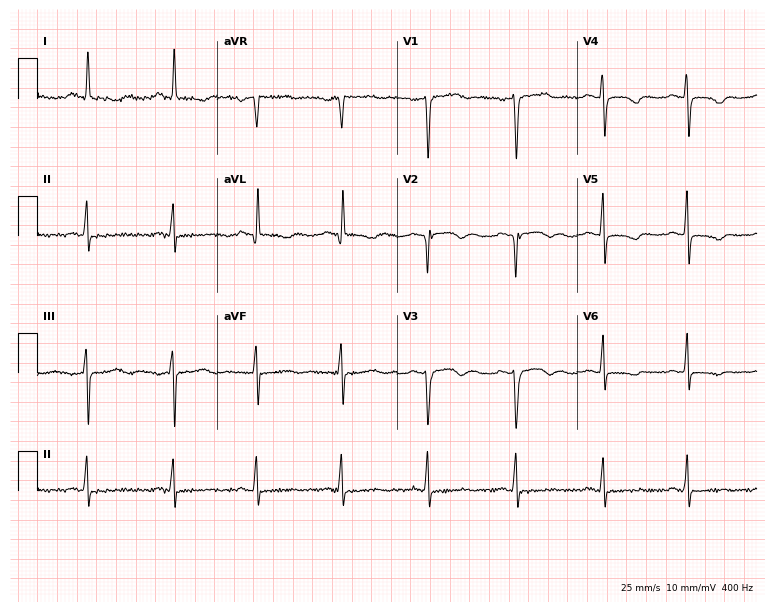
12-lead ECG from a 64-year-old woman. No first-degree AV block, right bundle branch block, left bundle branch block, sinus bradycardia, atrial fibrillation or sinus tachycardia recorded for this tracing.